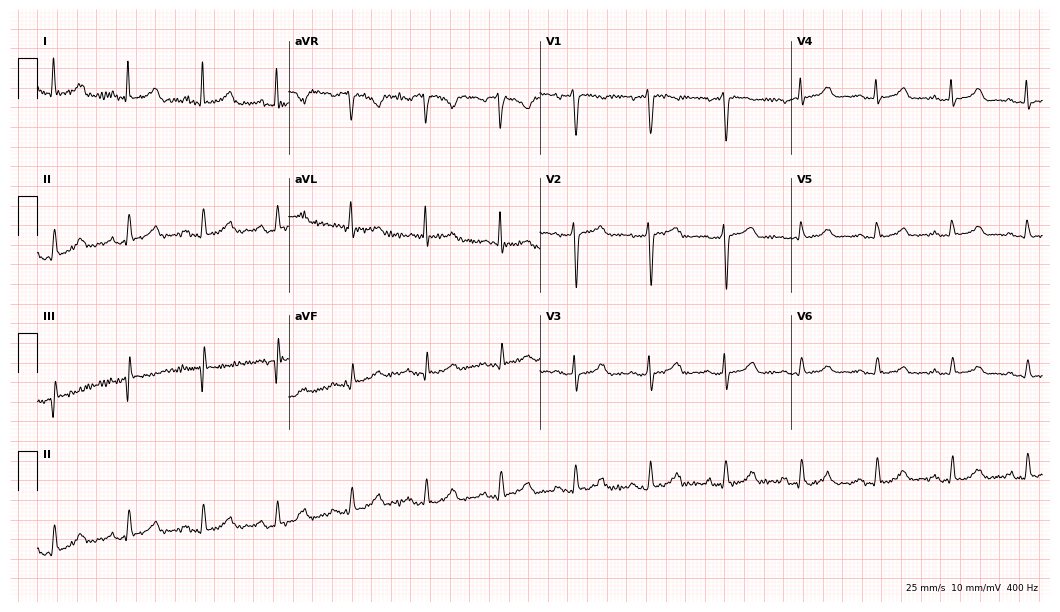
12-lead ECG (10.2-second recording at 400 Hz) from a female, 77 years old. Screened for six findings — first-degree AV block, right bundle branch block, left bundle branch block, sinus bradycardia, atrial fibrillation, sinus tachycardia — none is recorded.